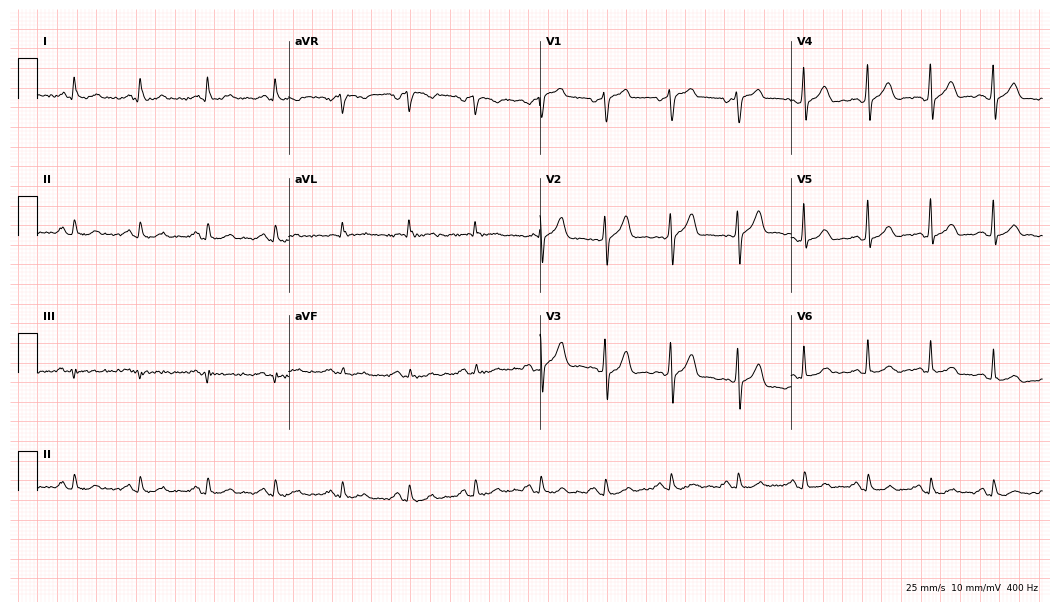
Standard 12-lead ECG recorded from a 54-year-old male patient (10.2-second recording at 400 Hz). Read as a normal ECG.